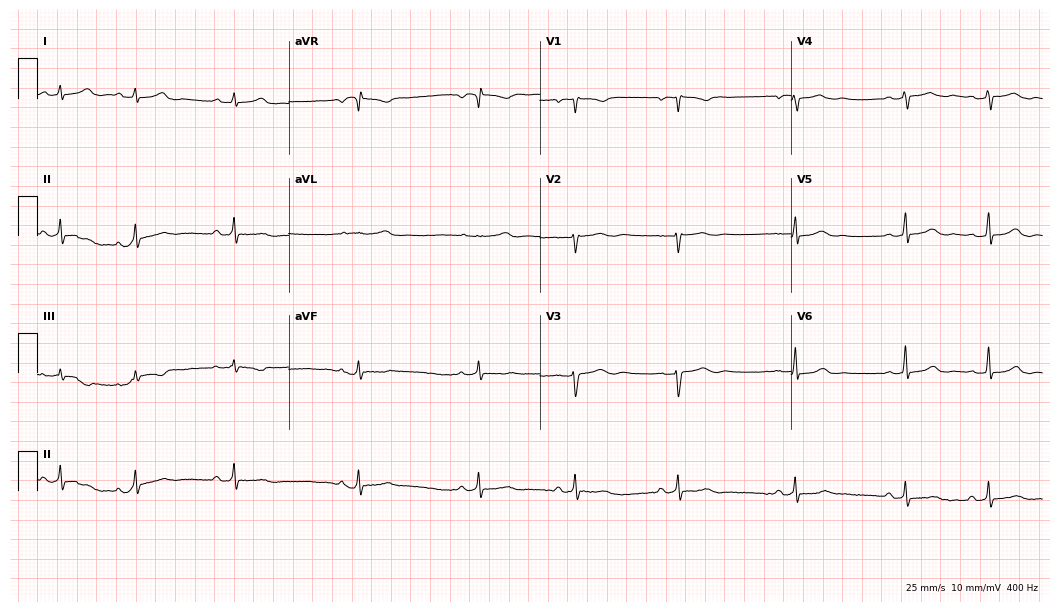
12-lead ECG (10.2-second recording at 400 Hz) from a 17-year-old woman. Labelled as a normal ECG.